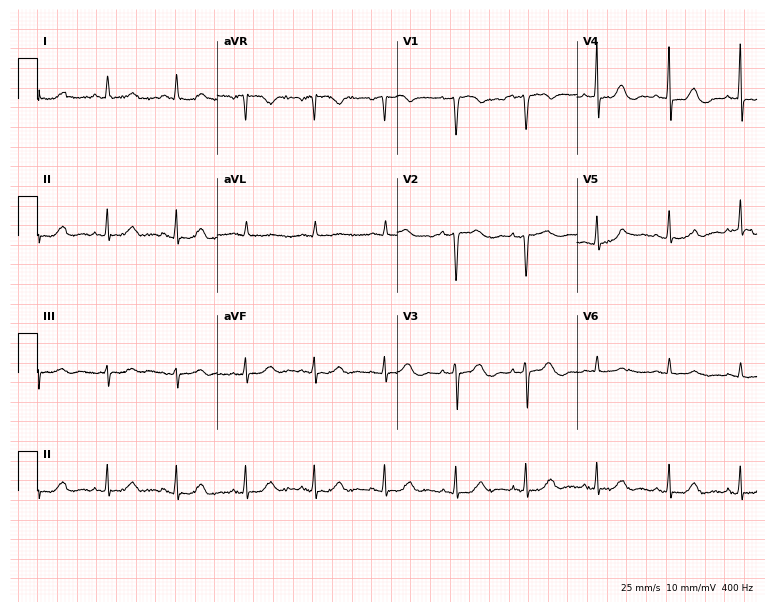
Resting 12-lead electrocardiogram (7.3-second recording at 400 Hz). Patient: a 57-year-old woman. None of these six findings is recorded: first-degree AV block, right bundle branch block, left bundle branch block, sinus bradycardia, atrial fibrillation, sinus tachycardia.